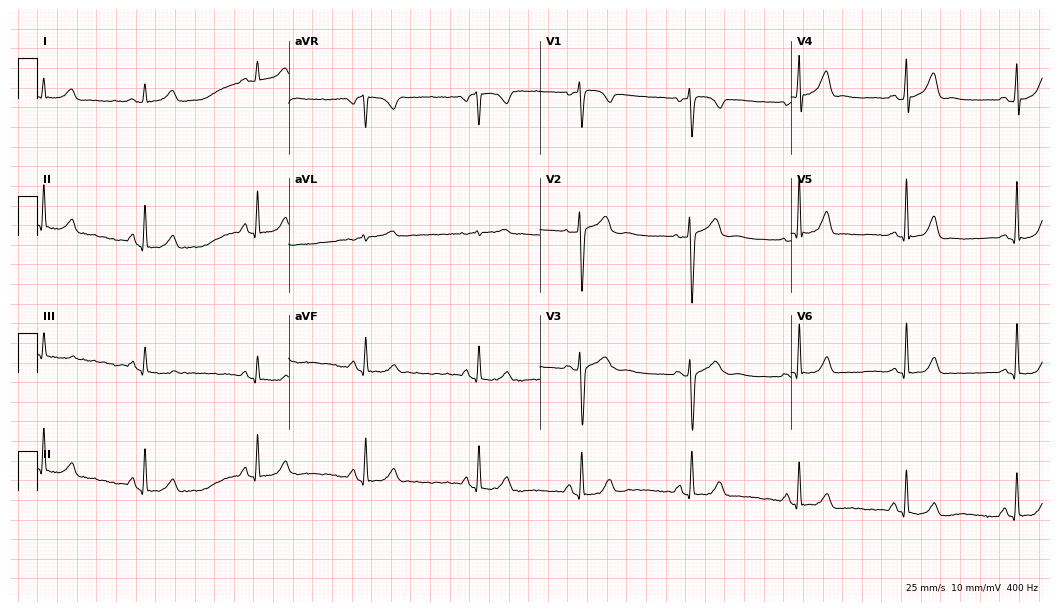
Standard 12-lead ECG recorded from a 31-year-old female. None of these six findings is recorded: first-degree AV block, right bundle branch block, left bundle branch block, sinus bradycardia, atrial fibrillation, sinus tachycardia. Only these six findings were labelled.